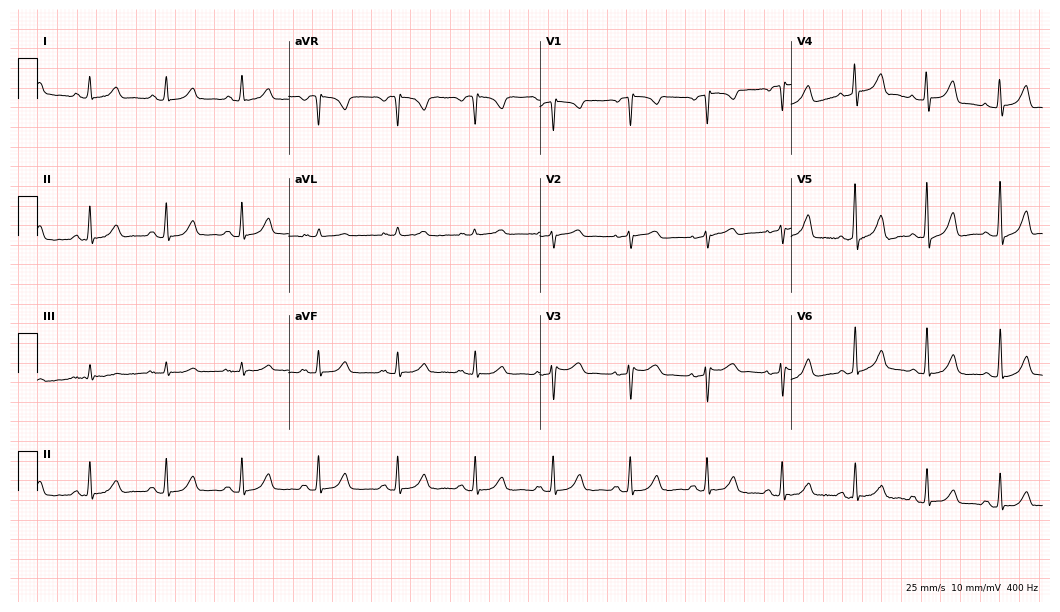
Resting 12-lead electrocardiogram. Patient: a 50-year-old female. Read as a normal ECG.